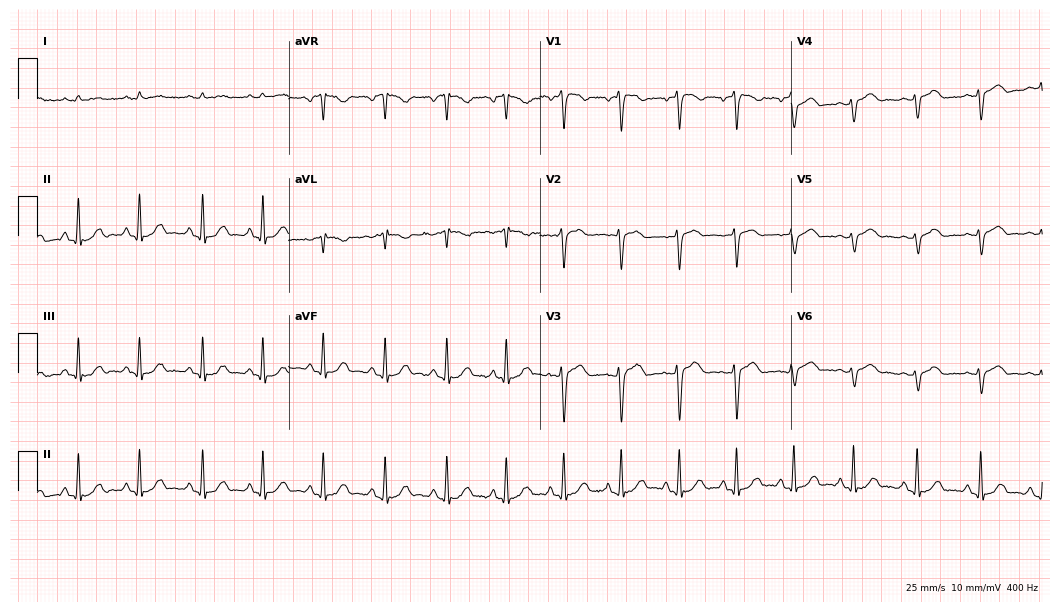
12-lead ECG from a 23-year-old male. No first-degree AV block, right bundle branch block, left bundle branch block, sinus bradycardia, atrial fibrillation or sinus tachycardia recorded for this tracing. Only these six findings were labelled.